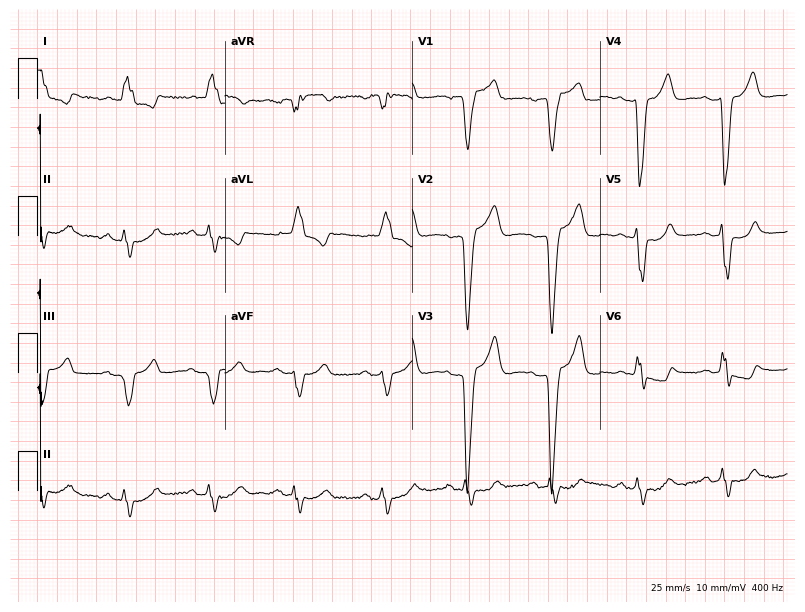
ECG (7.6-second recording at 400 Hz) — a 73-year-old female. Screened for six findings — first-degree AV block, right bundle branch block, left bundle branch block, sinus bradycardia, atrial fibrillation, sinus tachycardia — none is recorded.